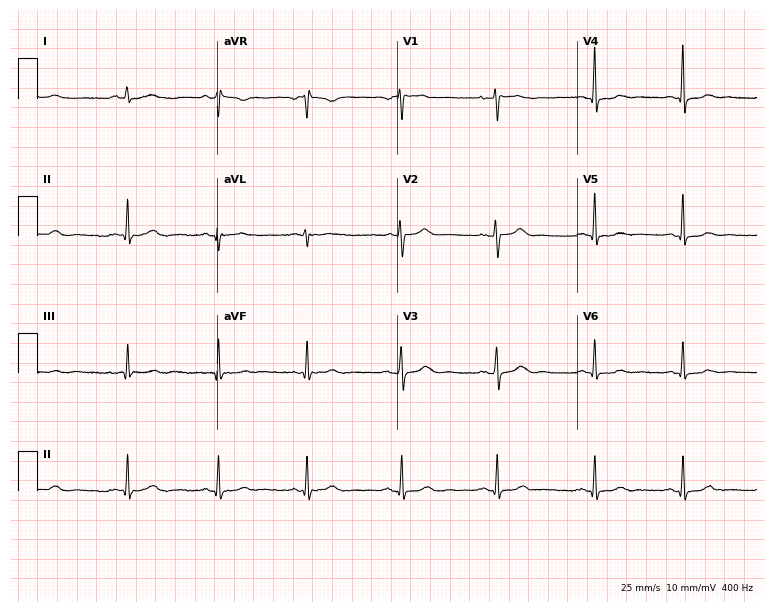
ECG (7.3-second recording at 400 Hz) — a 40-year-old female patient. Screened for six findings — first-degree AV block, right bundle branch block, left bundle branch block, sinus bradycardia, atrial fibrillation, sinus tachycardia — none is recorded.